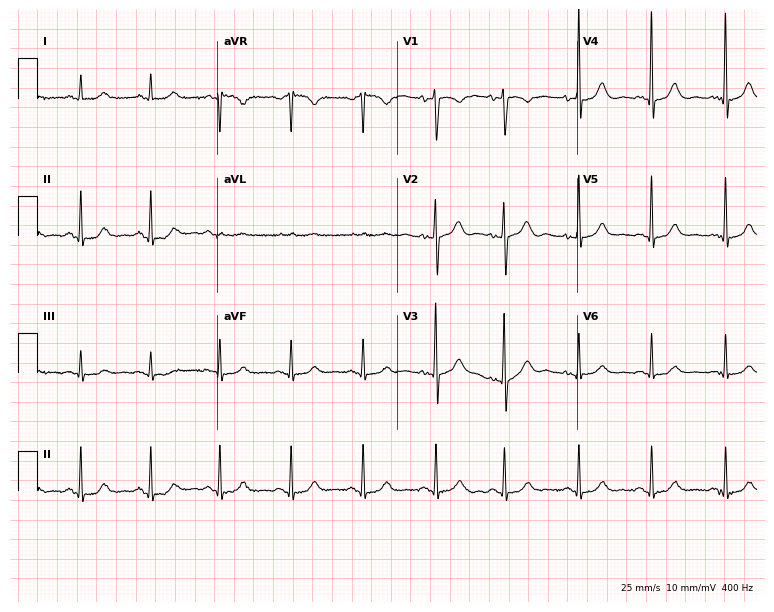
12-lead ECG from an 82-year-old female. Recorded interpretation: within normal limits.